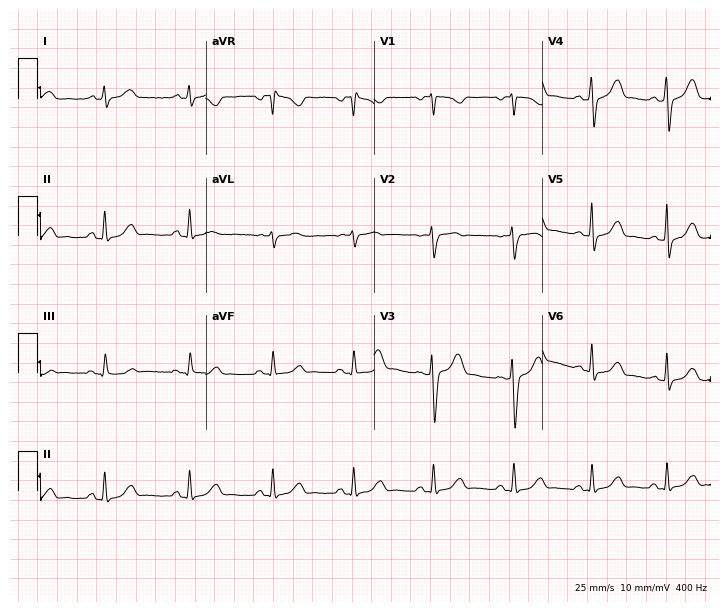
12-lead ECG from a 34-year-old female. No first-degree AV block, right bundle branch block, left bundle branch block, sinus bradycardia, atrial fibrillation or sinus tachycardia recorded for this tracing. Only these six findings were labelled.